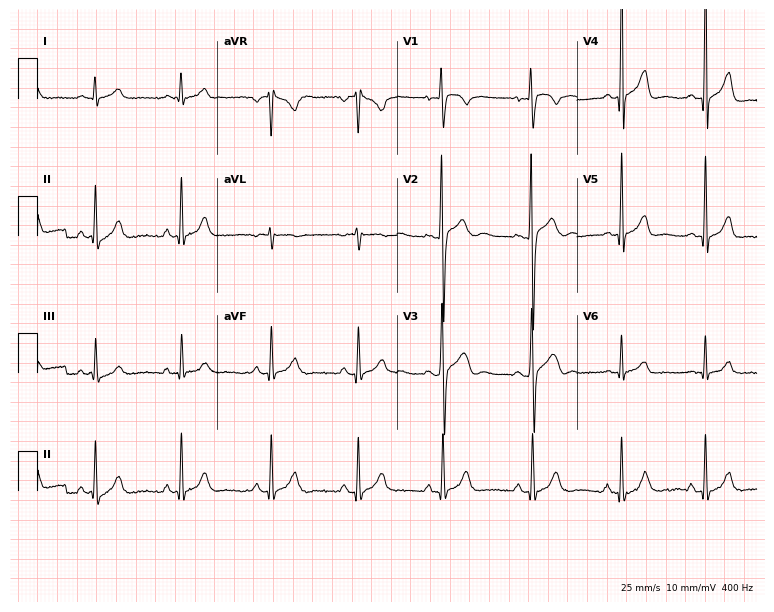
12-lead ECG from a 26-year-old male. No first-degree AV block, right bundle branch block, left bundle branch block, sinus bradycardia, atrial fibrillation or sinus tachycardia recorded for this tracing.